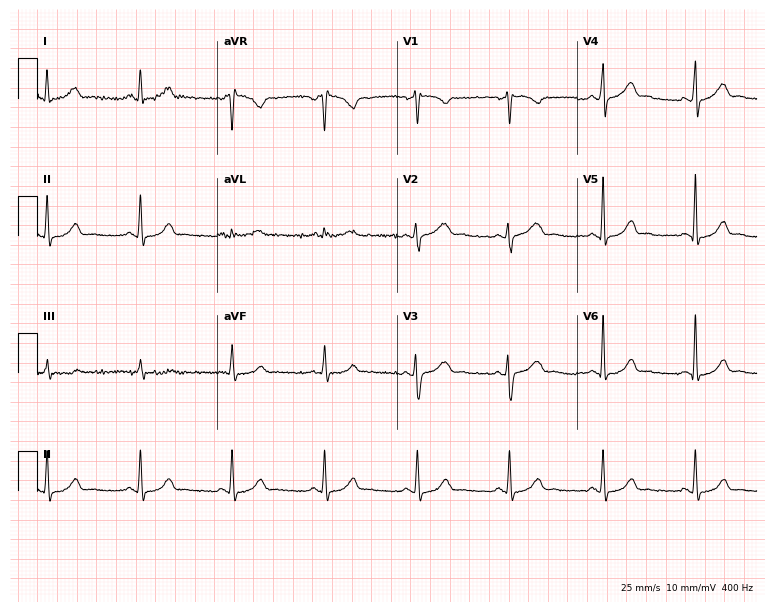
Standard 12-lead ECG recorded from a woman, 32 years old. None of these six findings is recorded: first-degree AV block, right bundle branch block, left bundle branch block, sinus bradycardia, atrial fibrillation, sinus tachycardia. Only these six findings were labelled.